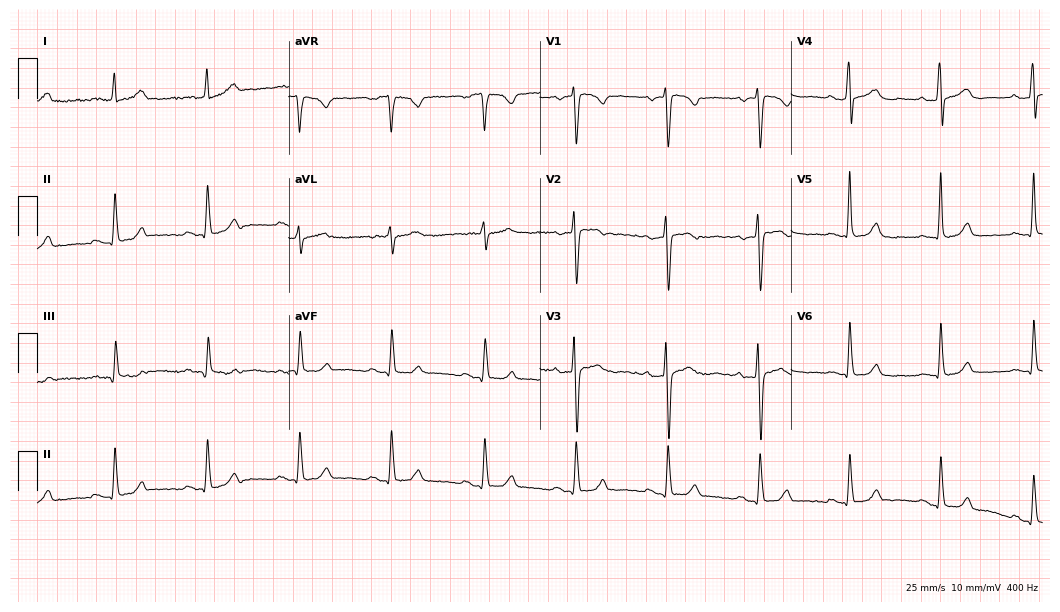
Standard 12-lead ECG recorded from a female patient, 39 years old (10.2-second recording at 400 Hz). Read as a normal ECG.